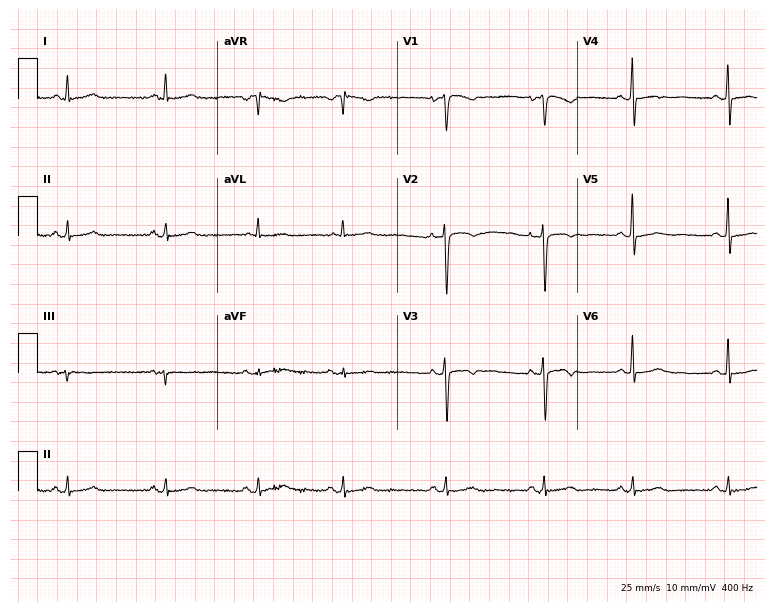
ECG (7.3-second recording at 400 Hz) — a 41-year-old woman. Screened for six findings — first-degree AV block, right bundle branch block, left bundle branch block, sinus bradycardia, atrial fibrillation, sinus tachycardia — none is recorded. Other findings, if any, are not listed.